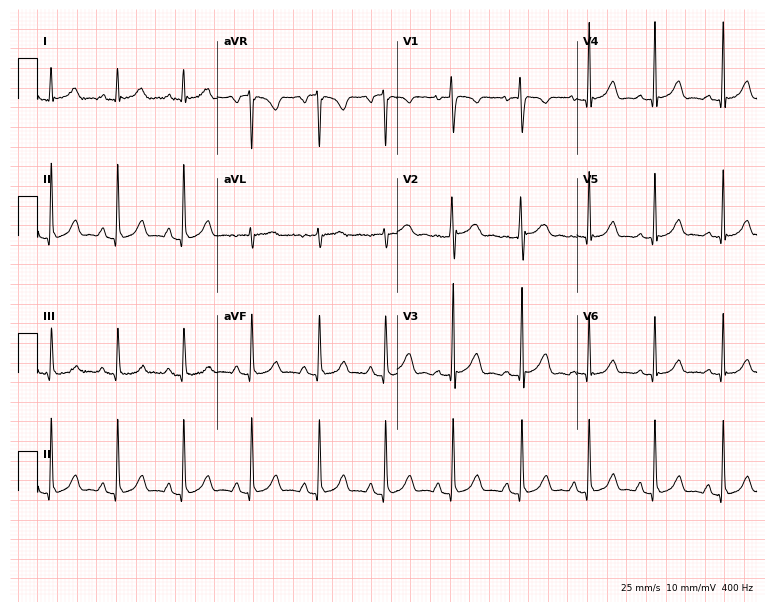
ECG (7.3-second recording at 400 Hz) — a female, 18 years old. Labelled as a normal ECG.